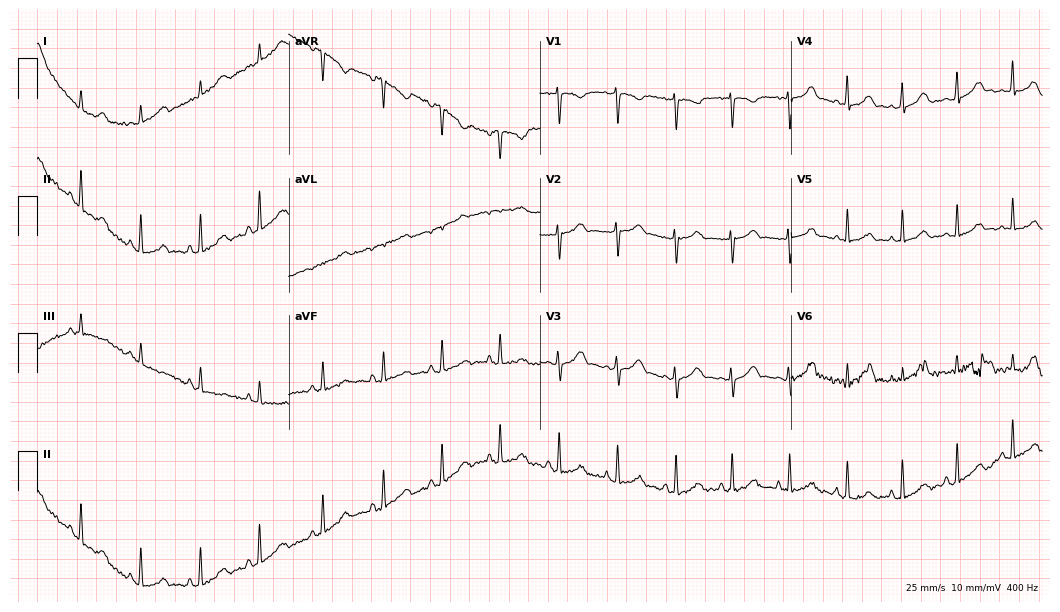
Resting 12-lead electrocardiogram (10.2-second recording at 400 Hz). Patient: an 18-year-old female. None of these six findings is recorded: first-degree AV block, right bundle branch block, left bundle branch block, sinus bradycardia, atrial fibrillation, sinus tachycardia. Other findings, if any, are not listed.